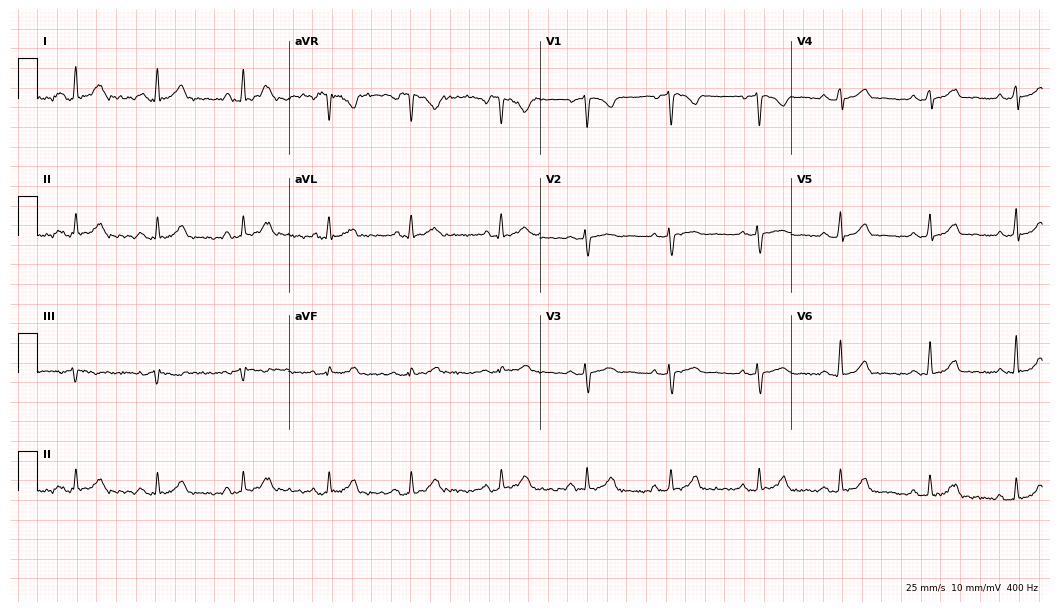
Resting 12-lead electrocardiogram. Patient: a 33-year-old woman. None of these six findings is recorded: first-degree AV block, right bundle branch block (RBBB), left bundle branch block (LBBB), sinus bradycardia, atrial fibrillation (AF), sinus tachycardia. Only these six findings were labelled.